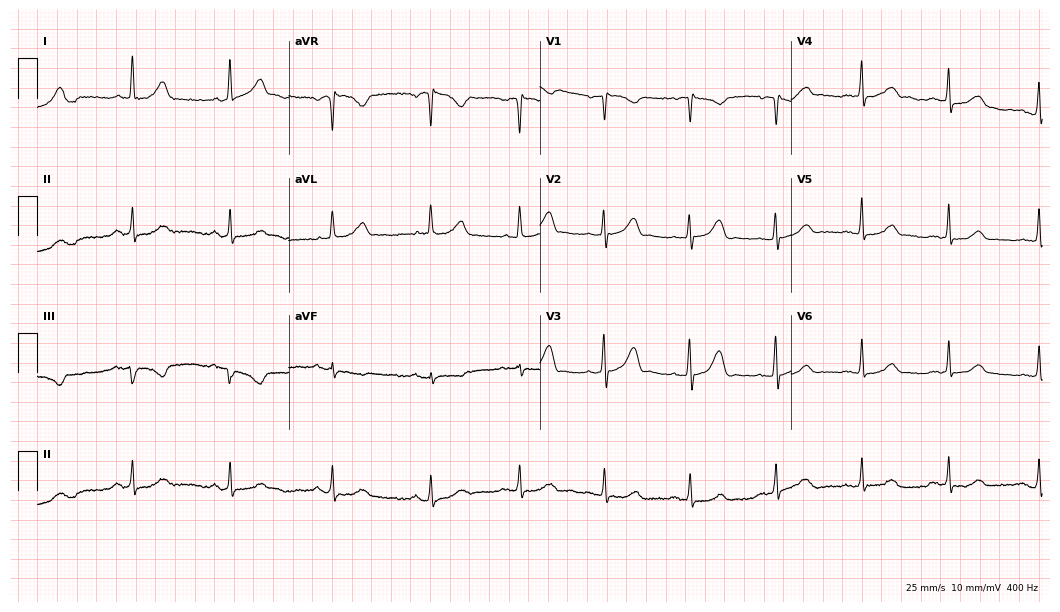
Standard 12-lead ECG recorded from a 69-year-old female. Read as a normal ECG.